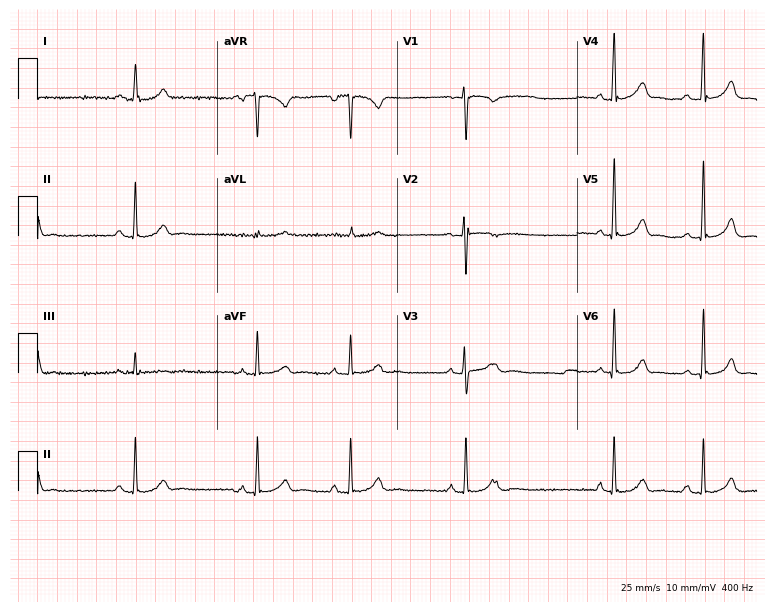
Standard 12-lead ECG recorded from a 28-year-old female patient. None of these six findings is recorded: first-degree AV block, right bundle branch block (RBBB), left bundle branch block (LBBB), sinus bradycardia, atrial fibrillation (AF), sinus tachycardia. Other findings, if any, are not listed.